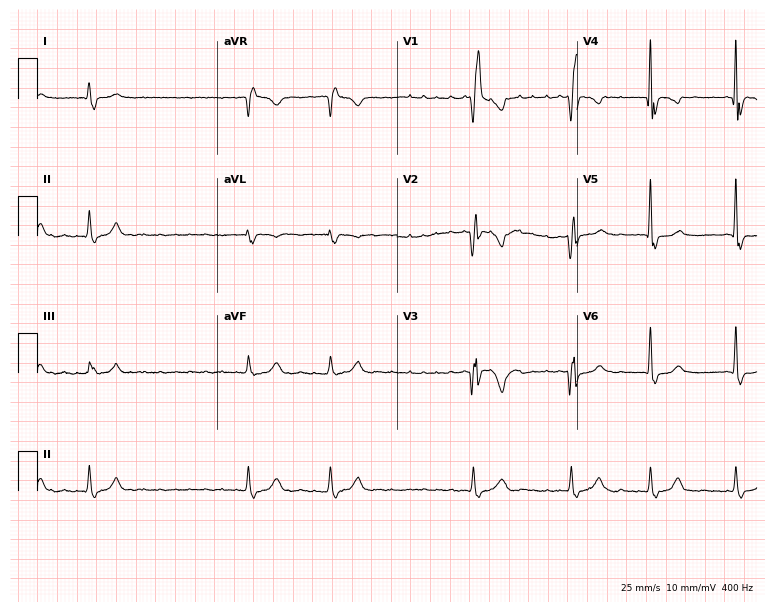
ECG (7.3-second recording at 400 Hz) — a male, 82 years old. Findings include right bundle branch block (RBBB), atrial fibrillation (AF).